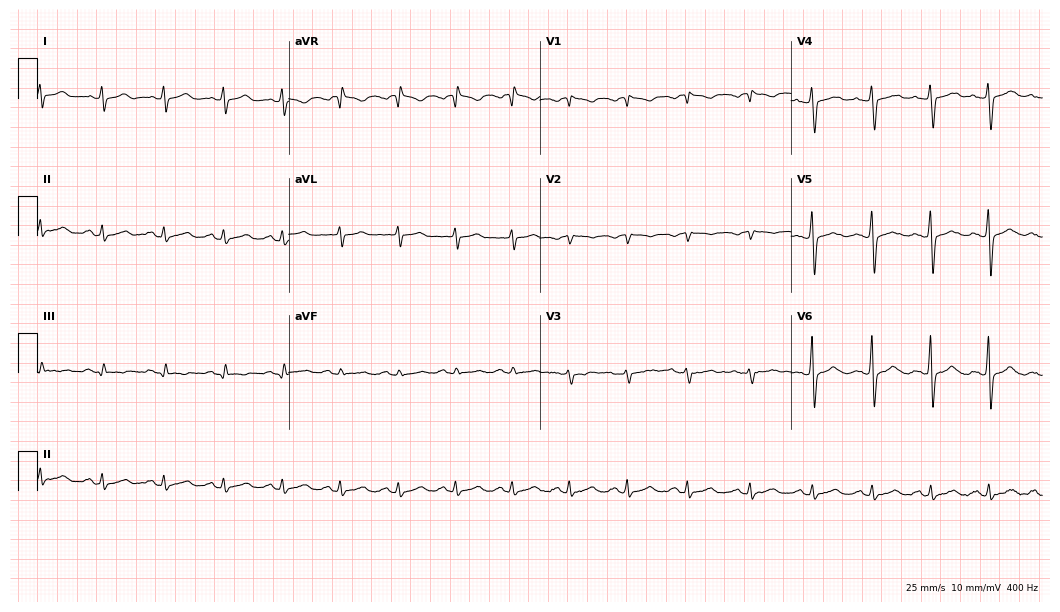
ECG — a 40-year-old female. Labelled as a normal ECG.